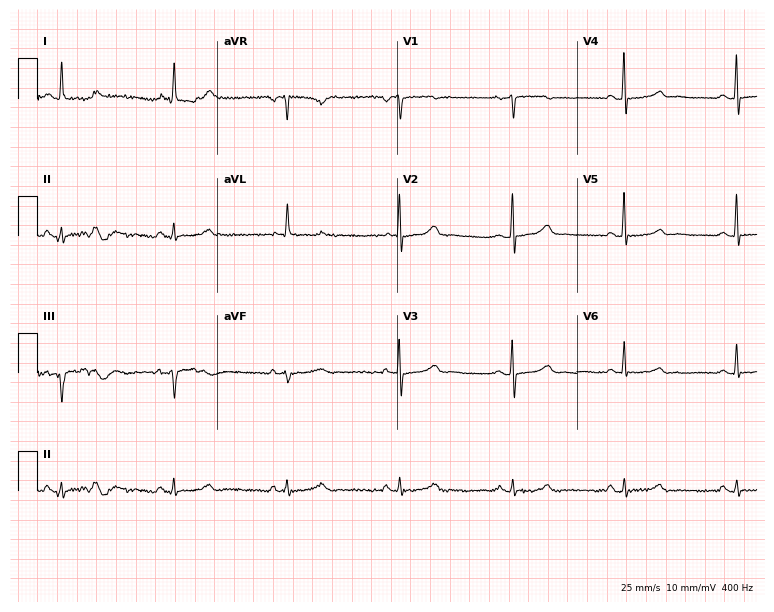
Resting 12-lead electrocardiogram. Patient: a female, 68 years old. Read as a normal ECG.